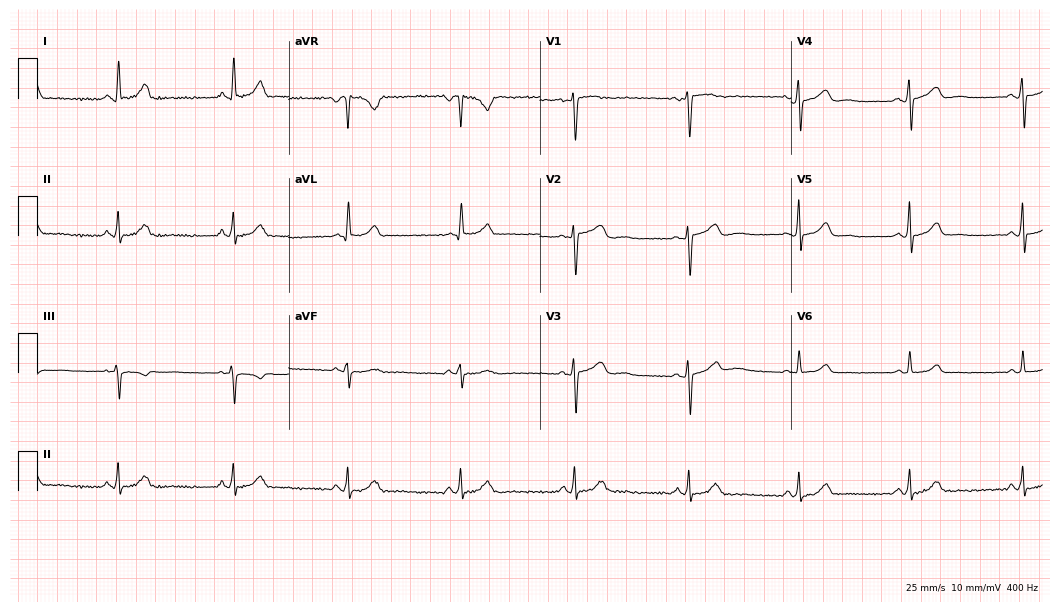
12-lead ECG from a female, 37 years old (10.2-second recording at 400 Hz). Recorded interpretation: within normal limits.